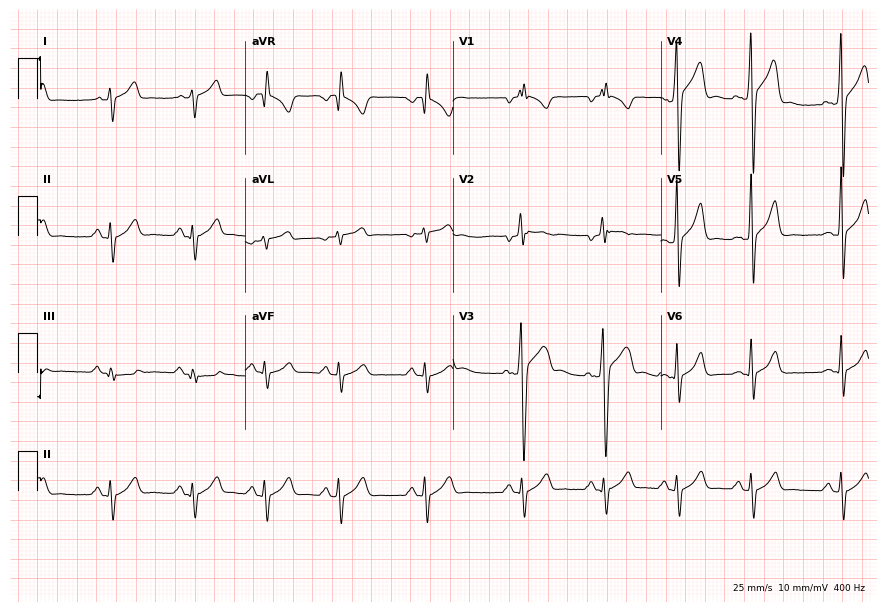
12-lead ECG (8.5-second recording at 400 Hz) from a man, 26 years old. Screened for six findings — first-degree AV block, right bundle branch block, left bundle branch block, sinus bradycardia, atrial fibrillation, sinus tachycardia — none is recorded. Findings outside these six are not listed.